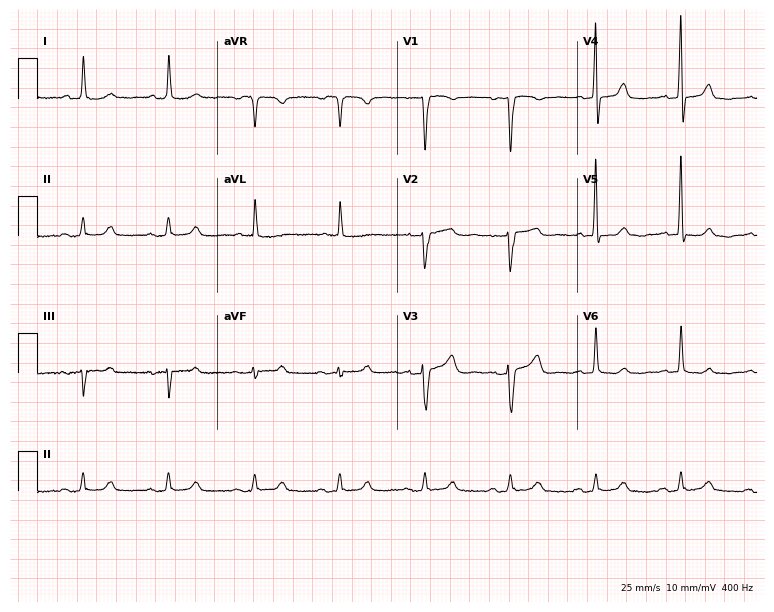
12-lead ECG from a woman, 60 years old. Recorded interpretation: within normal limits.